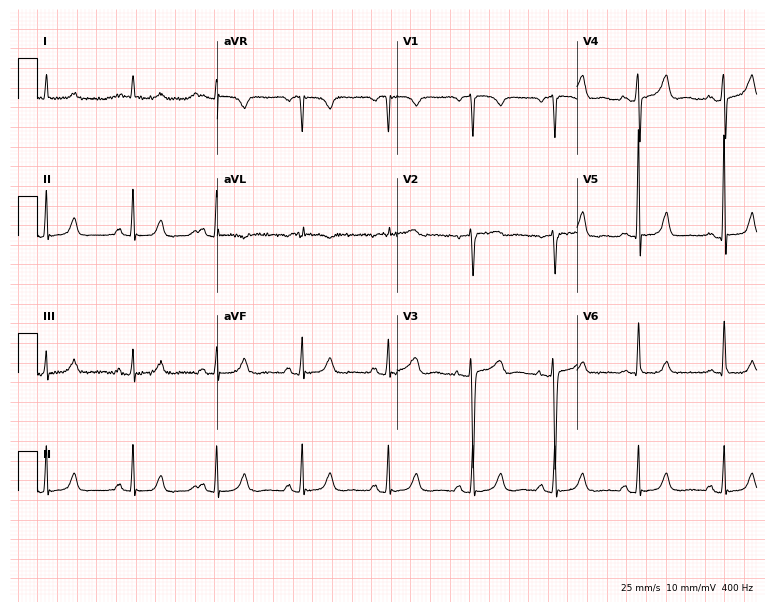
12-lead ECG (7.3-second recording at 400 Hz) from a 61-year-old female. Screened for six findings — first-degree AV block, right bundle branch block (RBBB), left bundle branch block (LBBB), sinus bradycardia, atrial fibrillation (AF), sinus tachycardia — none is recorded.